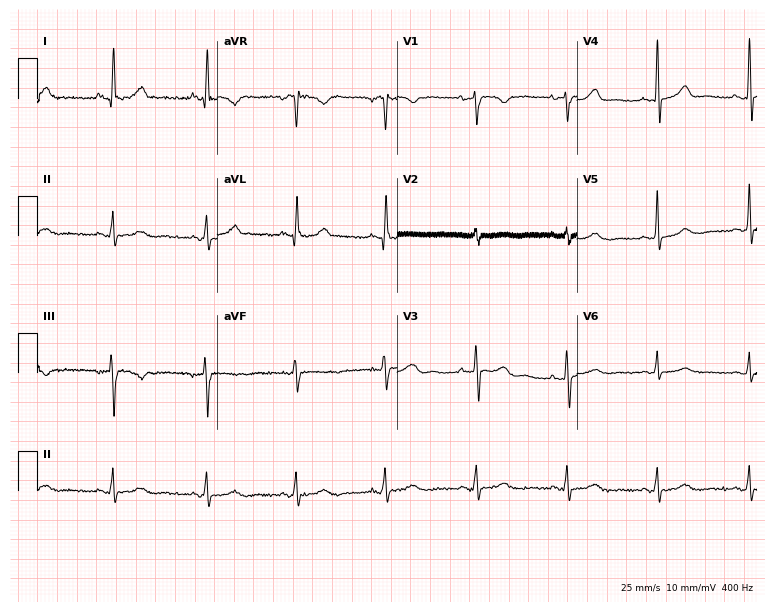
Standard 12-lead ECG recorded from a 56-year-old female (7.3-second recording at 400 Hz). None of these six findings is recorded: first-degree AV block, right bundle branch block, left bundle branch block, sinus bradycardia, atrial fibrillation, sinus tachycardia. Findings outside these six are not listed.